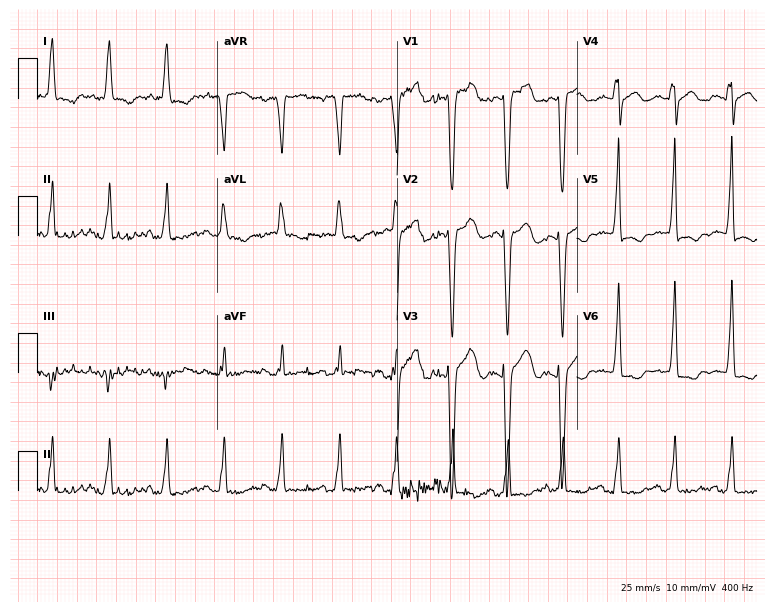
Electrocardiogram, a 79-year-old female patient. Of the six screened findings (first-degree AV block, right bundle branch block, left bundle branch block, sinus bradycardia, atrial fibrillation, sinus tachycardia), none is recorded.